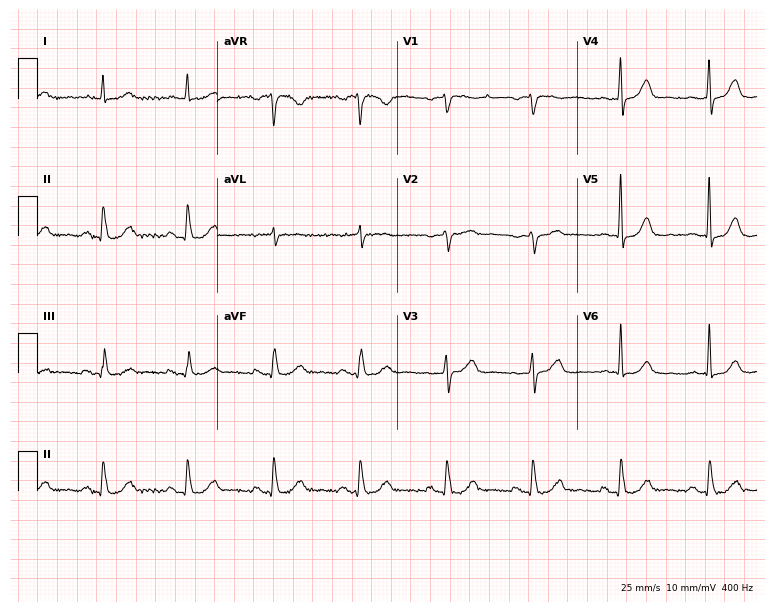
Electrocardiogram, a man, 78 years old. Overall reading on record: normal ECG.